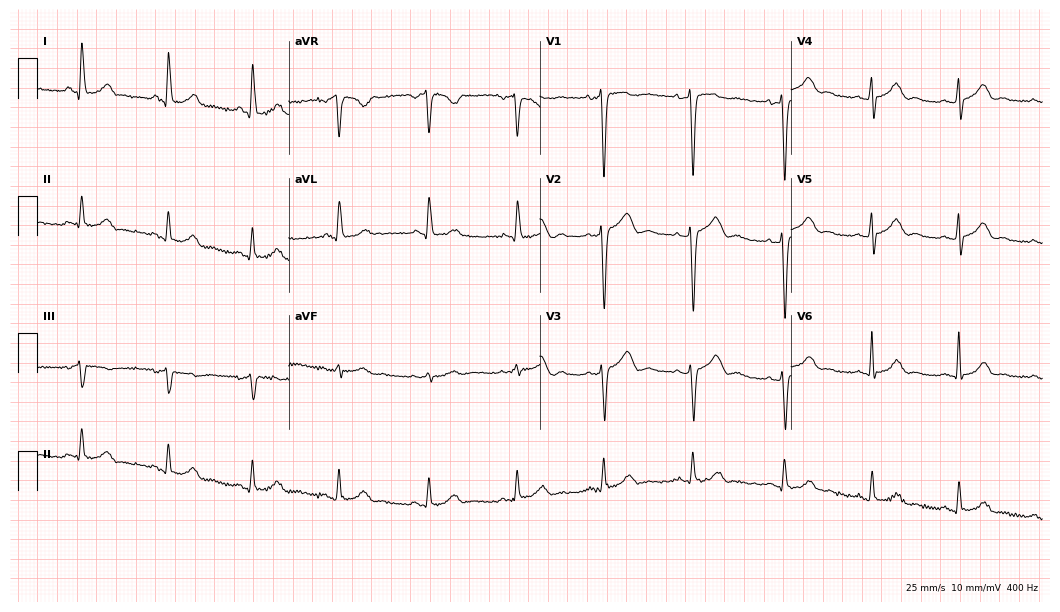
12-lead ECG (10.2-second recording at 400 Hz) from a female, 38 years old. Labelled as a normal ECG.